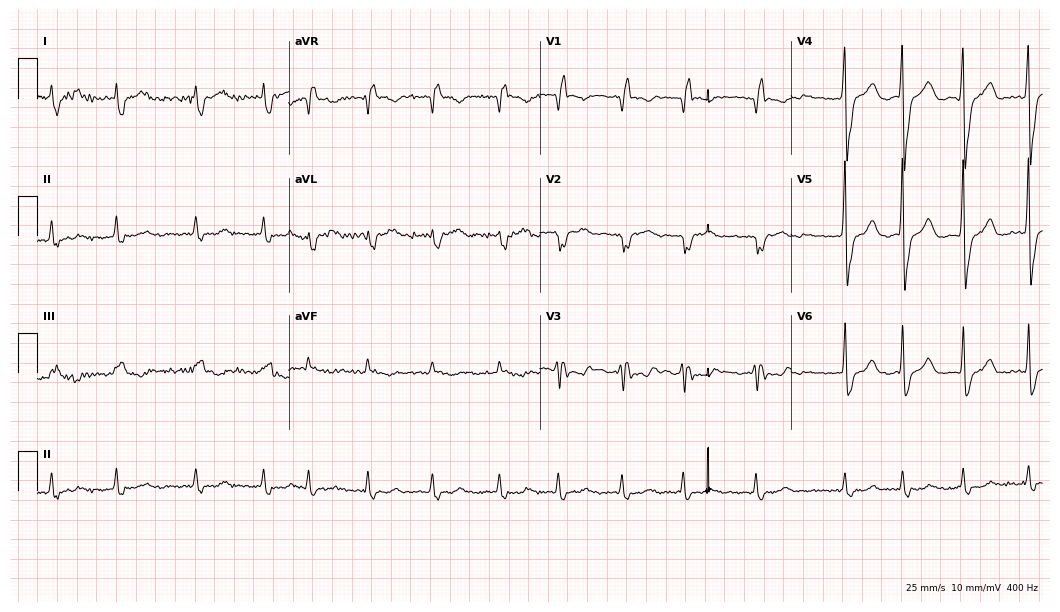
12-lead ECG (10.2-second recording at 400 Hz) from a male patient, 73 years old. Findings include right bundle branch block, atrial fibrillation.